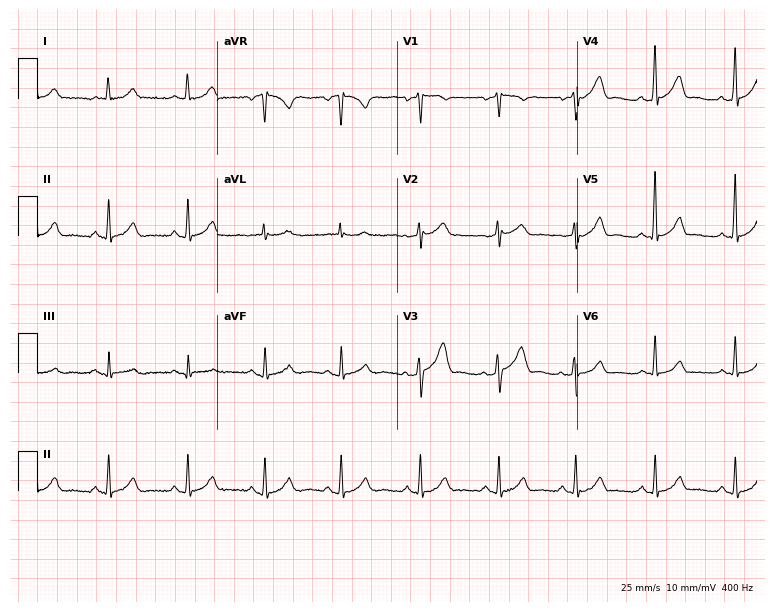
12-lead ECG from a 47-year-old female (7.3-second recording at 400 Hz). No first-degree AV block, right bundle branch block, left bundle branch block, sinus bradycardia, atrial fibrillation or sinus tachycardia recorded for this tracing. Only these six findings were labelled.